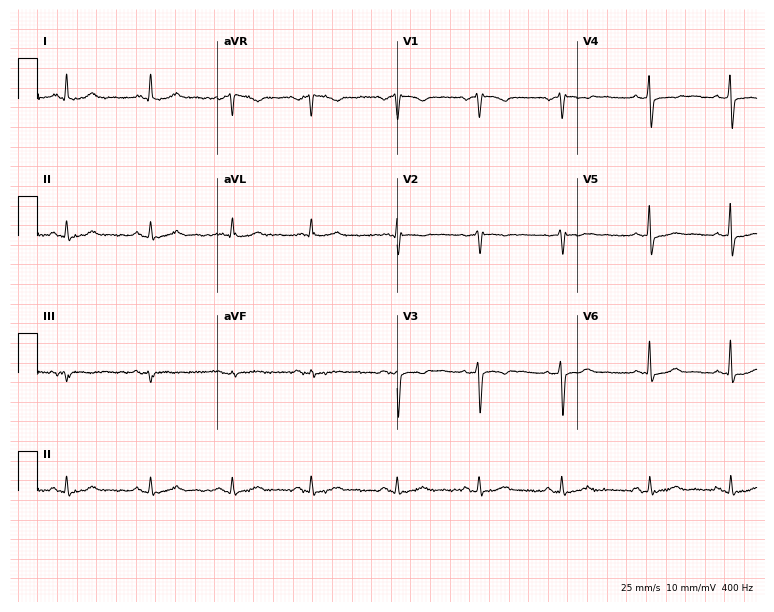
Electrocardiogram, a female patient, 51 years old. Of the six screened findings (first-degree AV block, right bundle branch block, left bundle branch block, sinus bradycardia, atrial fibrillation, sinus tachycardia), none is recorded.